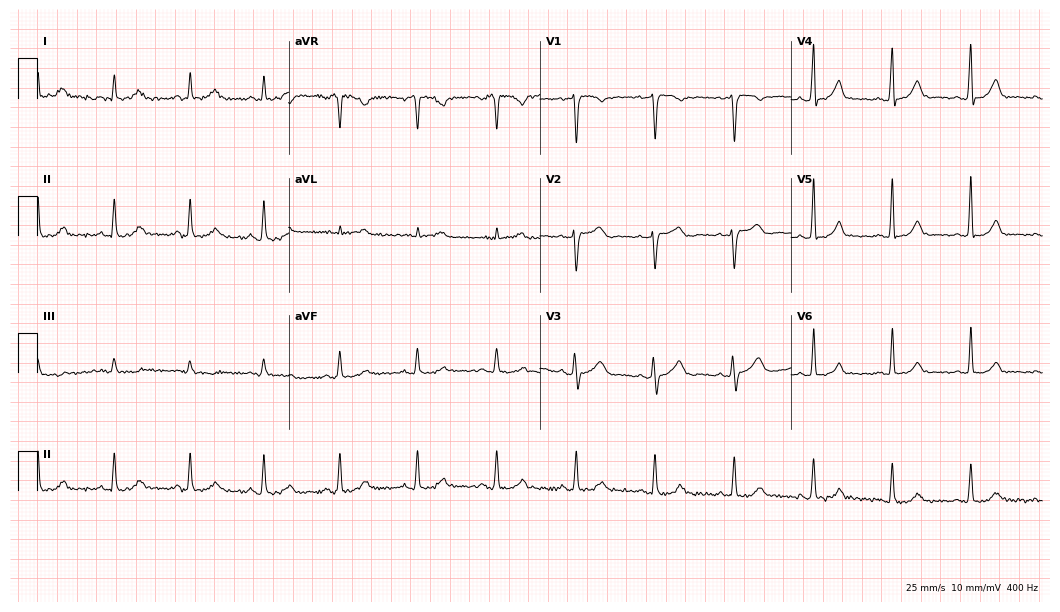
Electrocardiogram (10.2-second recording at 400 Hz), a 32-year-old female patient. Overall reading on record: normal ECG.